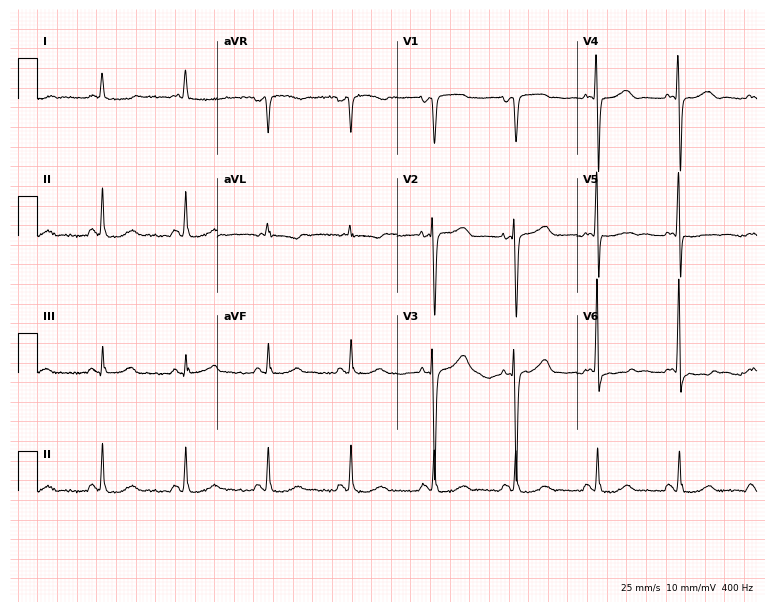
Standard 12-lead ECG recorded from a 78-year-old female. Read as a normal ECG.